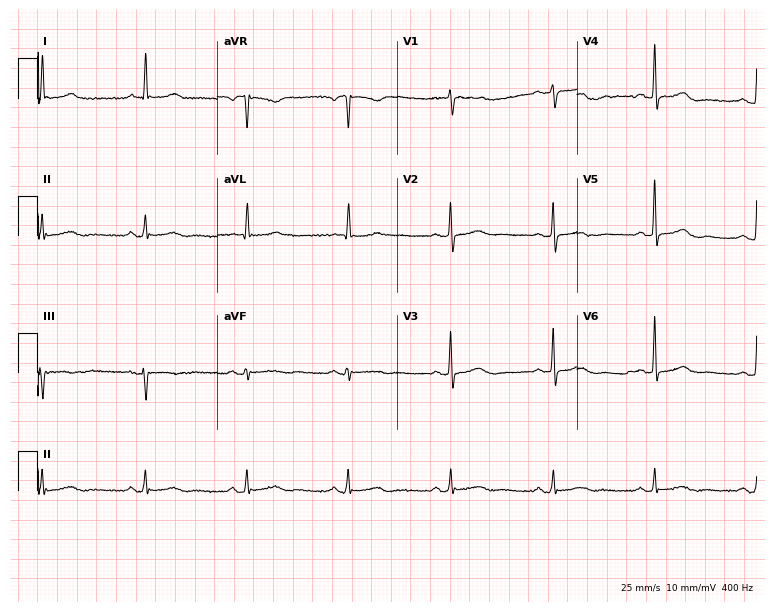
Standard 12-lead ECG recorded from a female, 78 years old. None of these six findings is recorded: first-degree AV block, right bundle branch block, left bundle branch block, sinus bradycardia, atrial fibrillation, sinus tachycardia. Only these six findings were labelled.